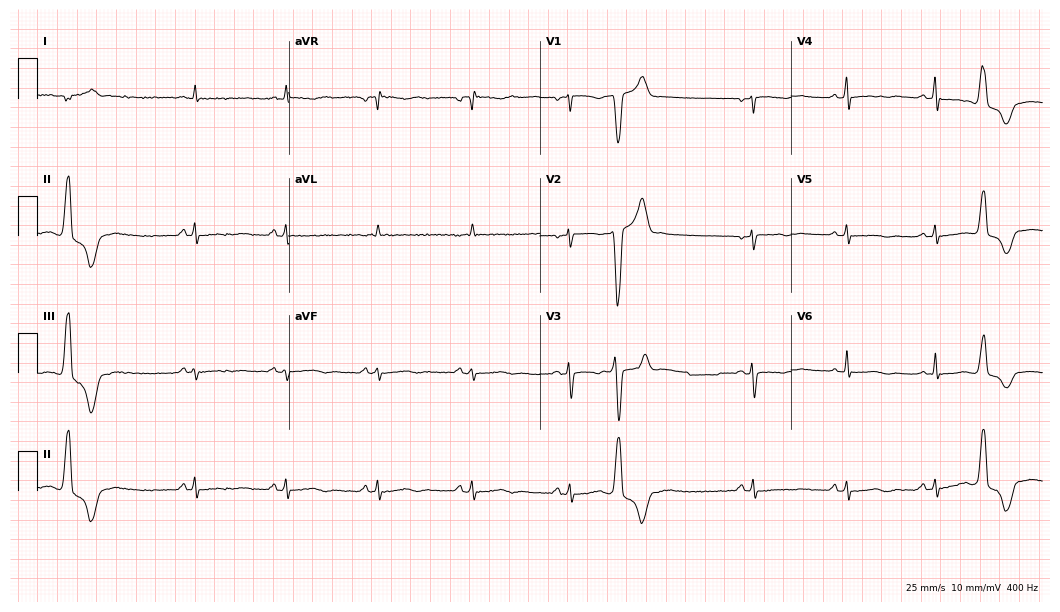
Resting 12-lead electrocardiogram (10.2-second recording at 400 Hz). Patient: a female, 41 years old. None of these six findings is recorded: first-degree AV block, right bundle branch block, left bundle branch block, sinus bradycardia, atrial fibrillation, sinus tachycardia.